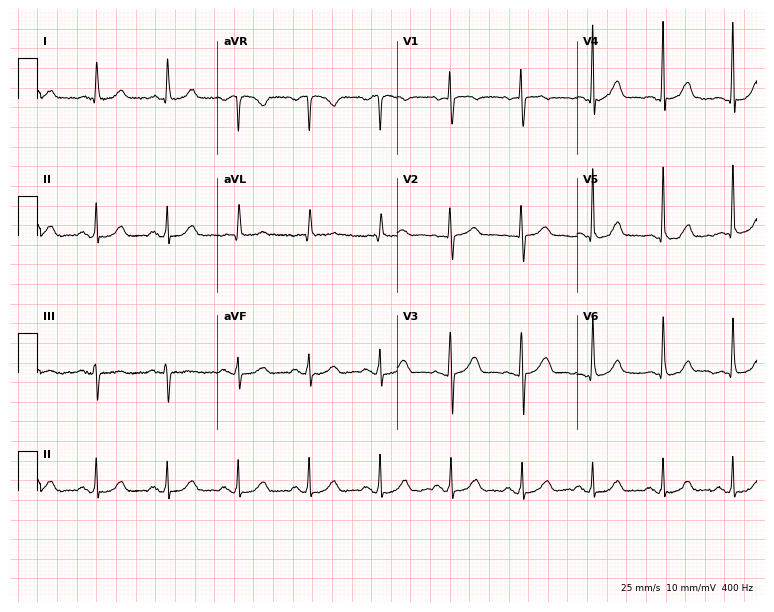
12-lead ECG from a woman, 78 years old (7.3-second recording at 400 Hz). Recorded interpretation: within normal limits.